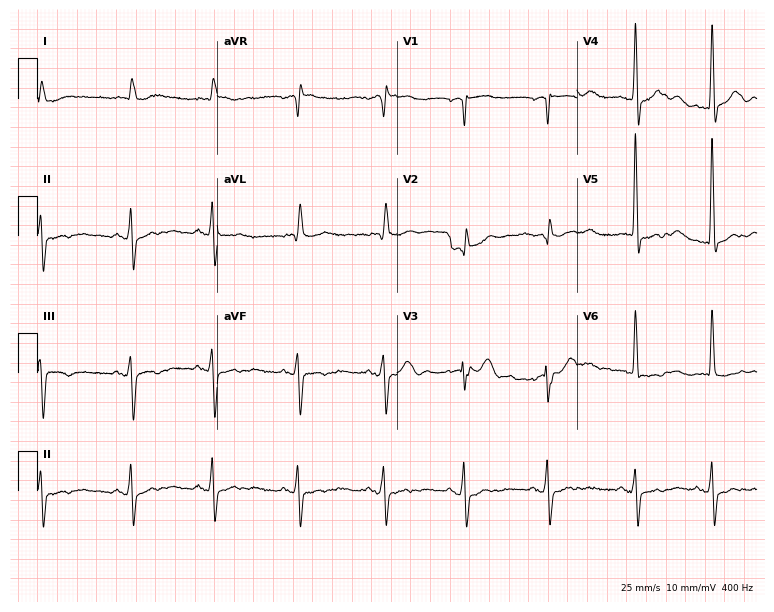
12-lead ECG from a man, 78 years old (7.3-second recording at 400 Hz). No first-degree AV block, right bundle branch block, left bundle branch block, sinus bradycardia, atrial fibrillation or sinus tachycardia recorded for this tracing.